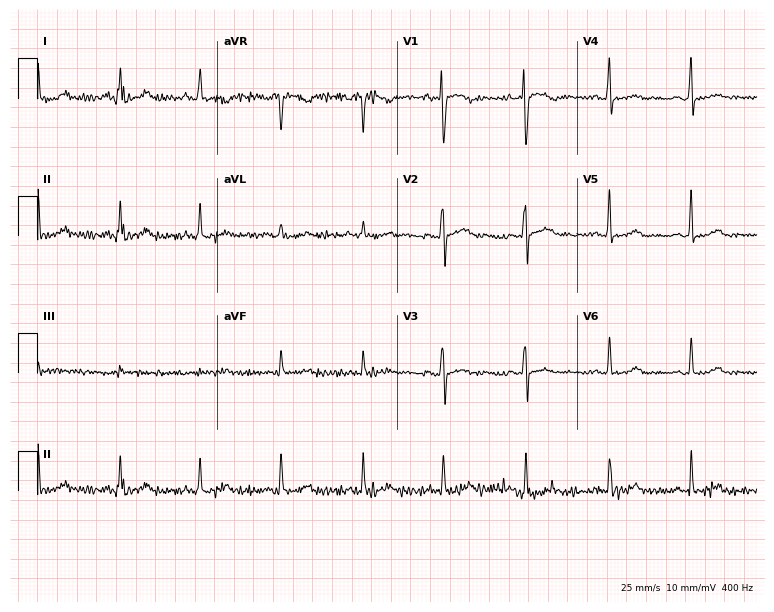
ECG (7.3-second recording at 400 Hz) — a female patient, 72 years old. Labelled as a normal ECG.